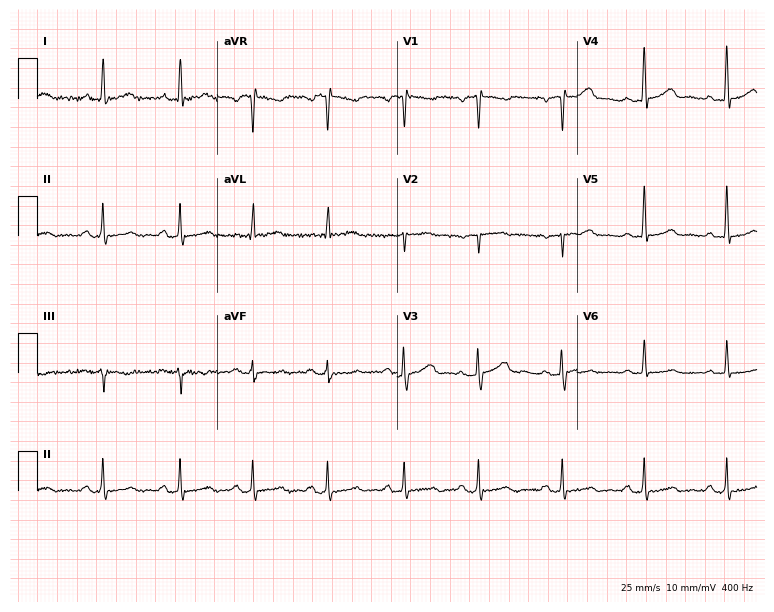
12-lead ECG from a 50-year-old female patient. Screened for six findings — first-degree AV block, right bundle branch block, left bundle branch block, sinus bradycardia, atrial fibrillation, sinus tachycardia — none is recorded. Other findings, if any, are not listed.